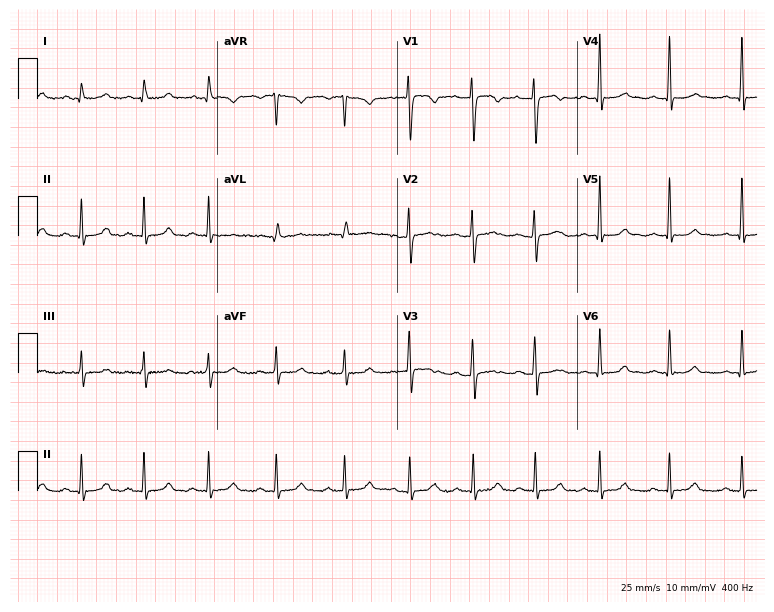
Electrocardiogram (7.3-second recording at 400 Hz), a 43-year-old woman. Overall reading on record: normal ECG.